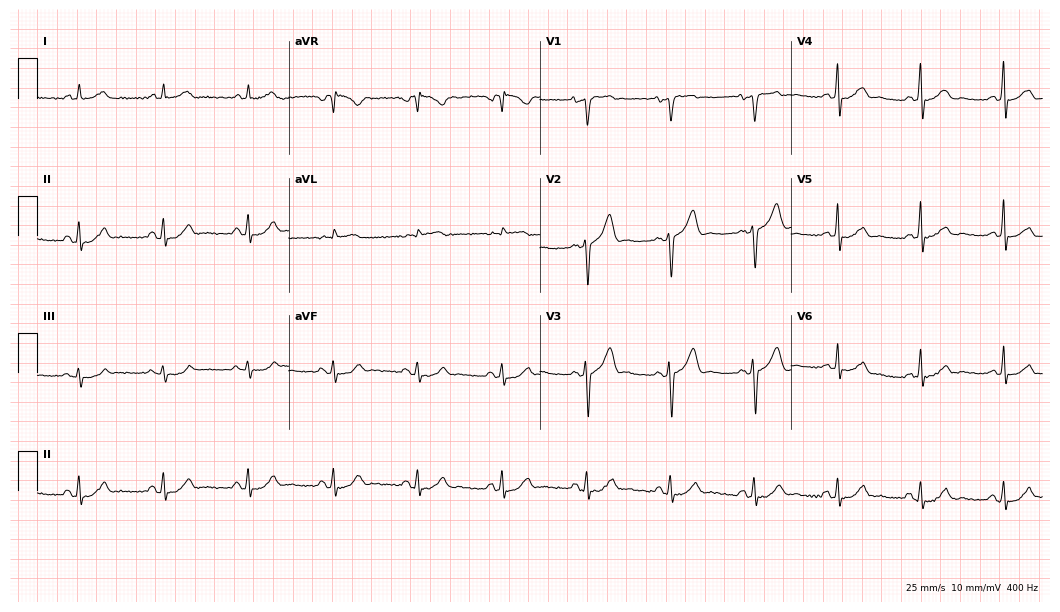
Standard 12-lead ECG recorded from a 57-year-old male patient (10.2-second recording at 400 Hz). None of these six findings is recorded: first-degree AV block, right bundle branch block, left bundle branch block, sinus bradycardia, atrial fibrillation, sinus tachycardia.